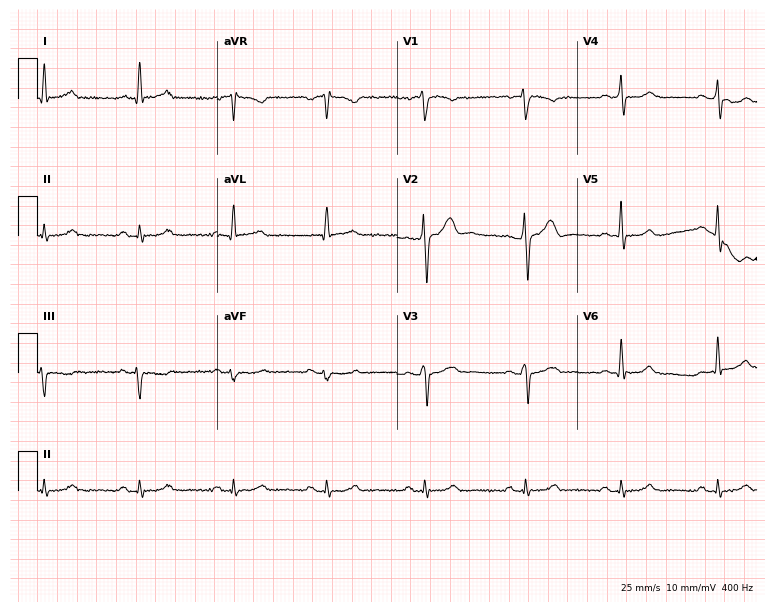
ECG (7.3-second recording at 400 Hz) — a 49-year-old male. Labelled as a normal ECG.